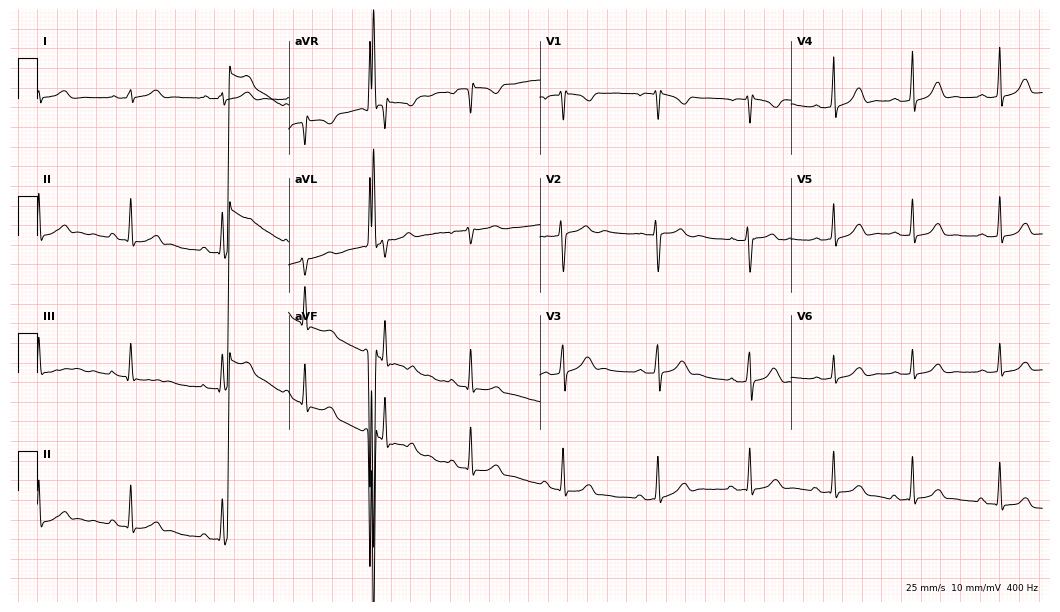
Electrocardiogram (10.2-second recording at 400 Hz), a female patient, 24 years old. Overall reading on record: normal ECG.